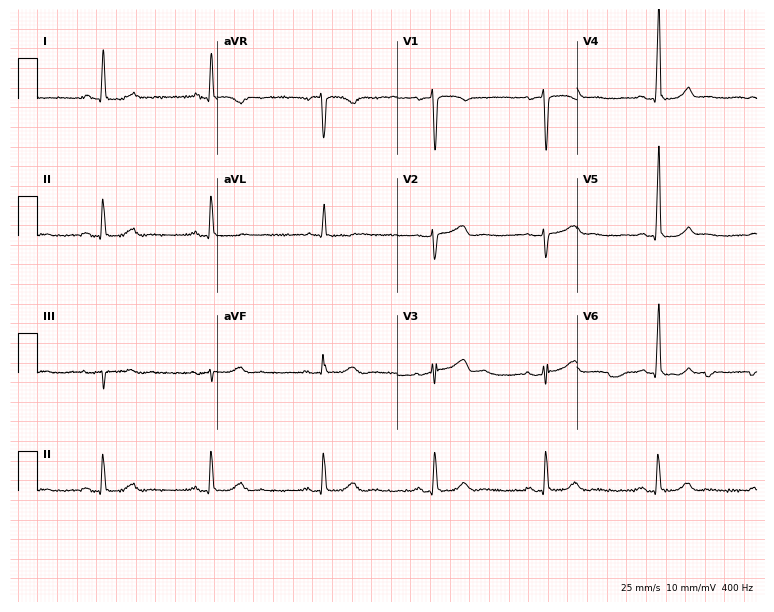
12-lead ECG from a woman, 78 years old. No first-degree AV block, right bundle branch block, left bundle branch block, sinus bradycardia, atrial fibrillation or sinus tachycardia recorded for this tracing. Findings outside these six are not listed.